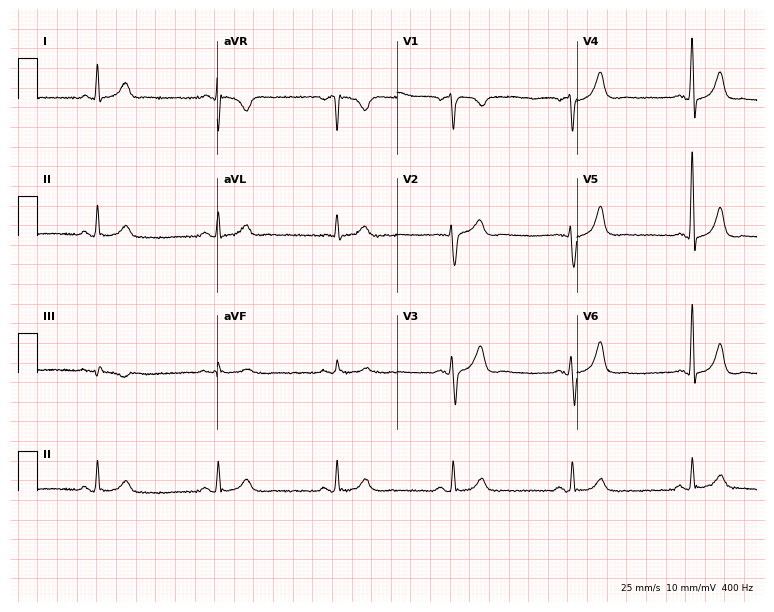
12-lead ECG from a man, 58 years old. Findings include sinus bradycardia (a sinus rate of 50 beats per minute or less).